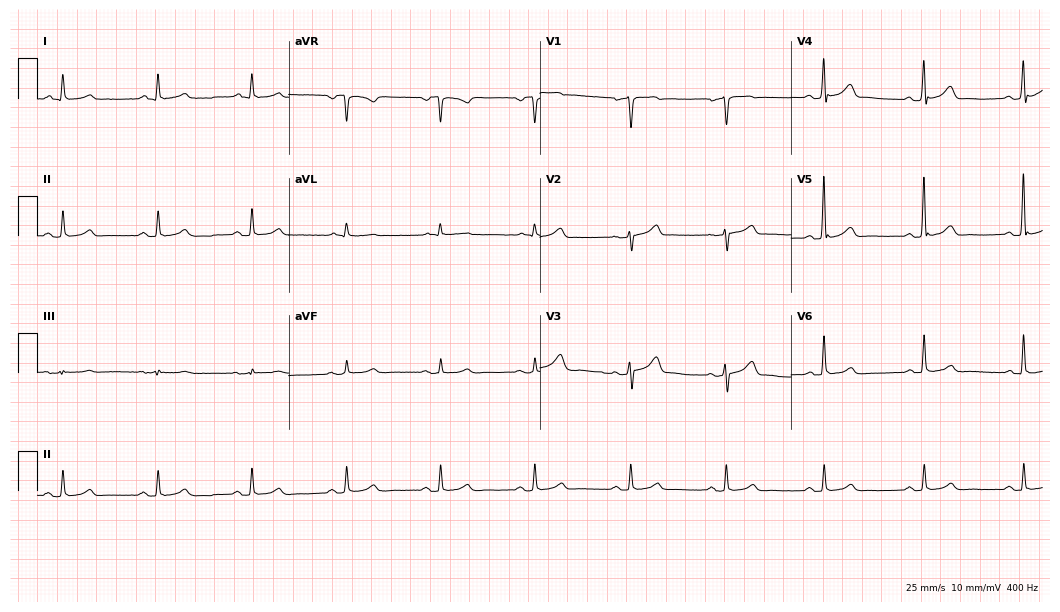
ECG (10.2-second recording at 400 Hz) — a man, 67 years old. Labelled as a normal ECG.